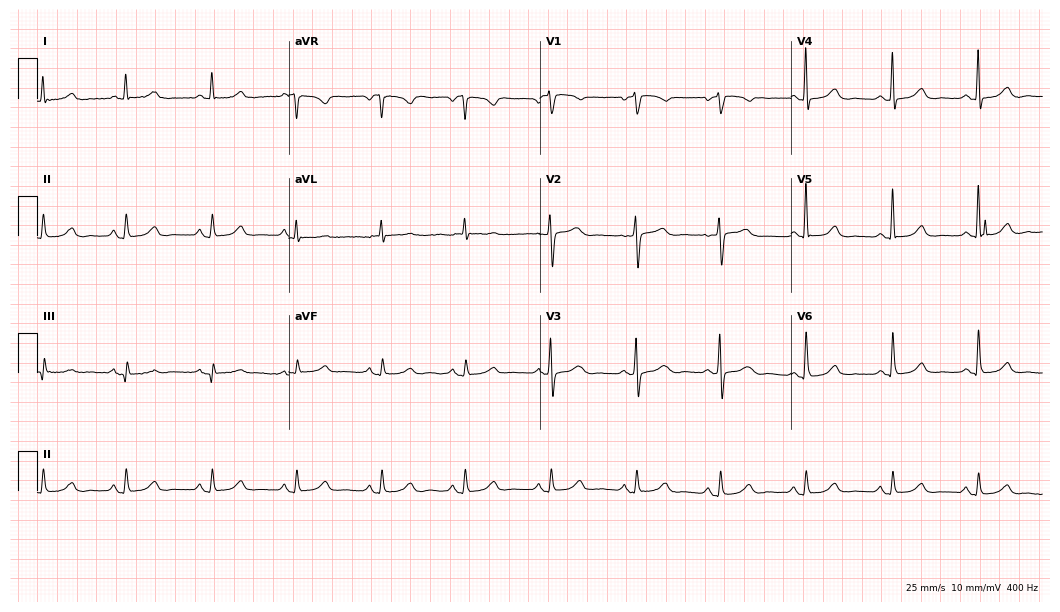
Resting 12-lead electrocardiogram (10.2-second recording at 400 Hz). Patient: a woman, 83 years old. Read as a normal ECG.